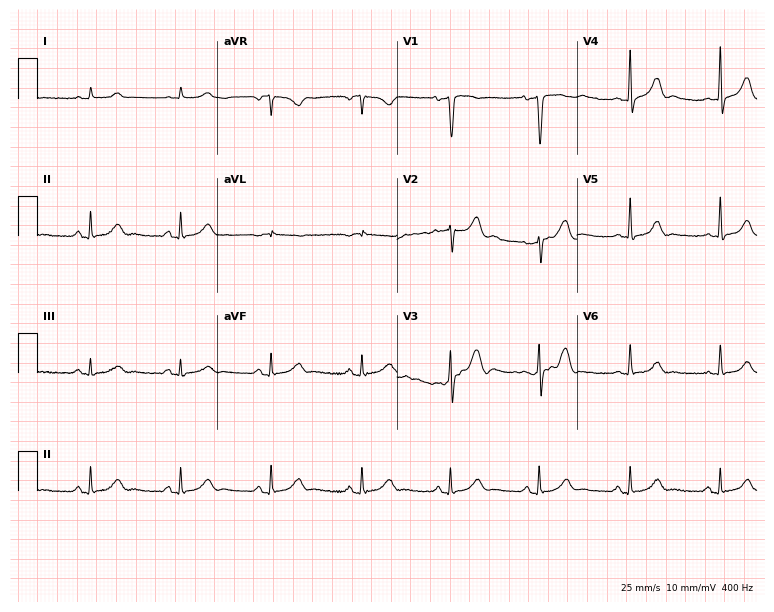
12-lead ECG from a 77-year-old male (7.3-second recording at 400 Hz). Recorded interpretation: within normal limits.